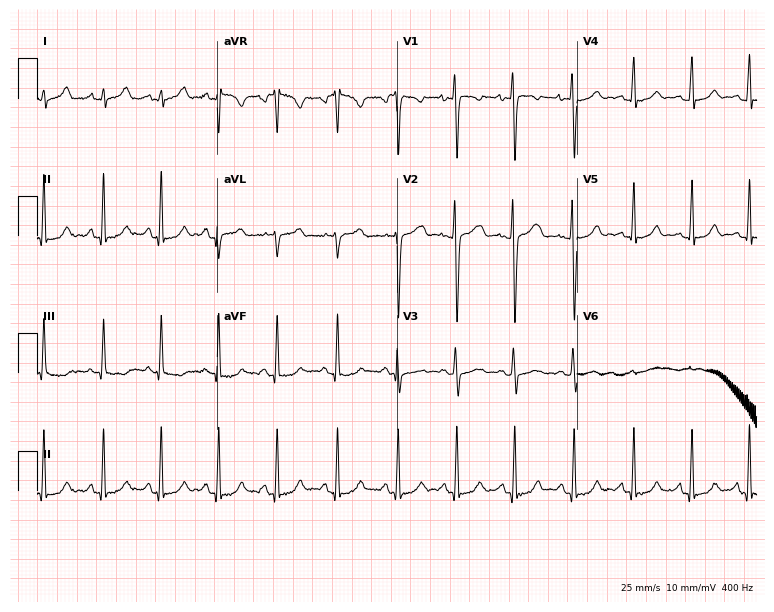
12-lead ECG from an 18-year-old female. Recorded interpretation: within normal limits.